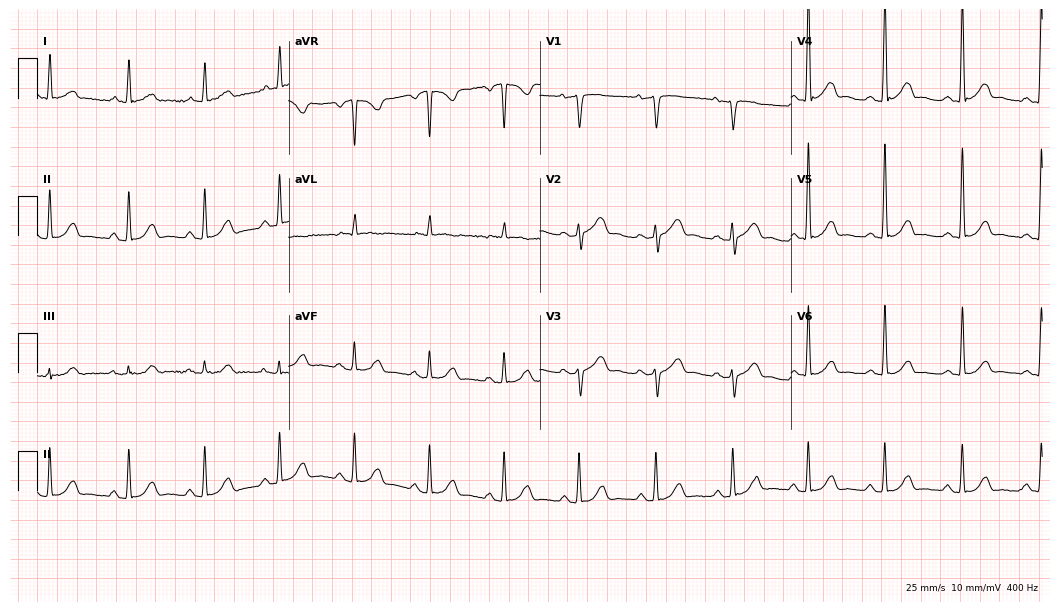
Electrocardiogram, a man, 58 years old. Of the six screened findings (first-degree AV block, right bundle branch block, left bundle branch block, sinus bradycardia, atrial fibrillation, sinus tachycardia), none is recorded.